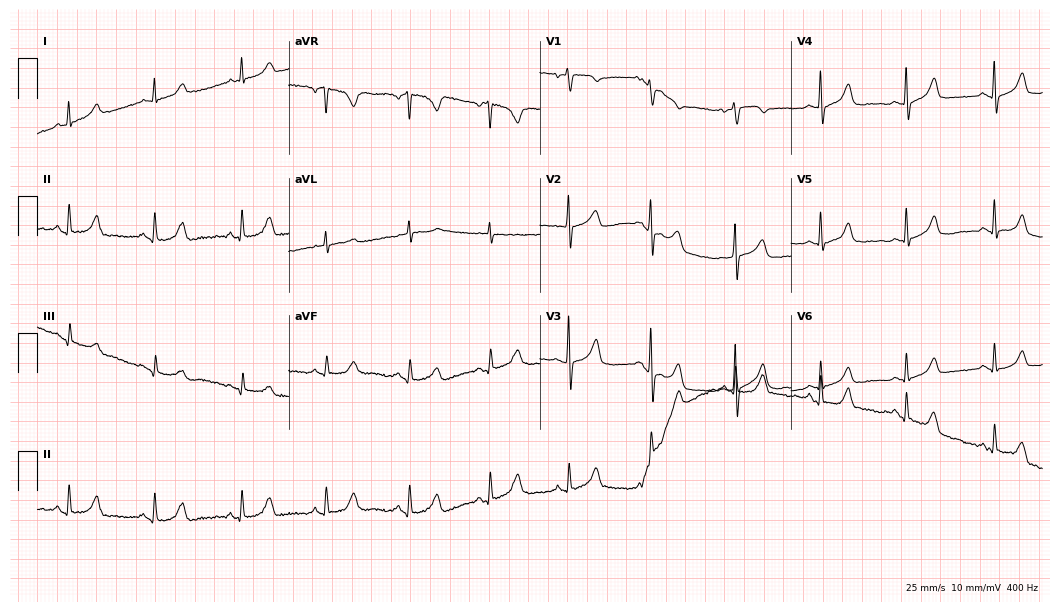
Resting 12-lead electrocardiogram (10.2-second recording at 400 Hz). Patient: a 62-year-old woman. Read as a normal ECG.